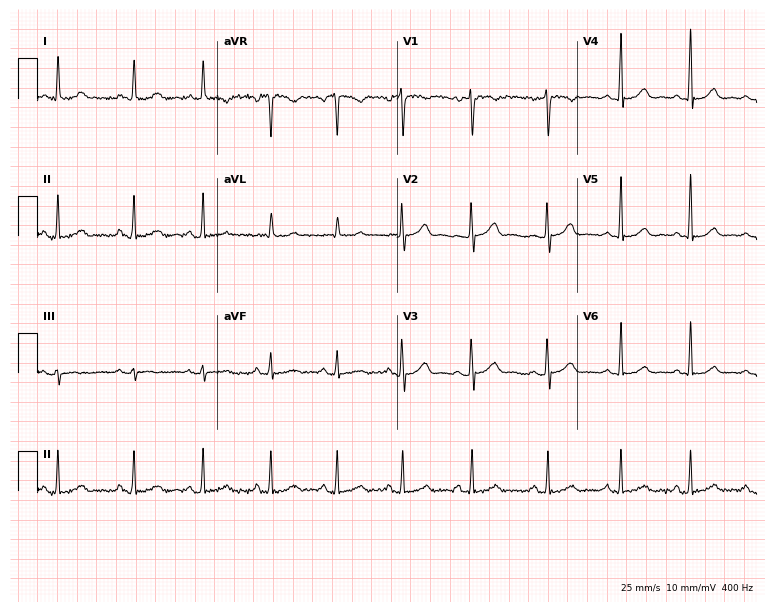
Electrocardiogram, a 35-year-old female patient. Overall reading on record: normal ECG.